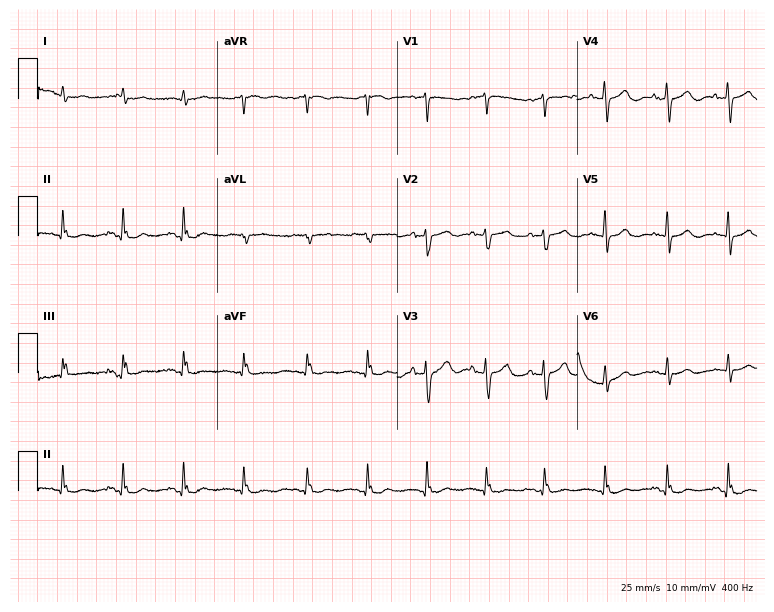
Standard 12-lead ECG recorded from a 70-year-old male (7.3-second recording at 400 Hz). None of these six findings is recorded: first-degree AV block, right bundle branch block, left bundle branch block, sinus bradycardia, atrial fibrillation, sinus tachycardia.